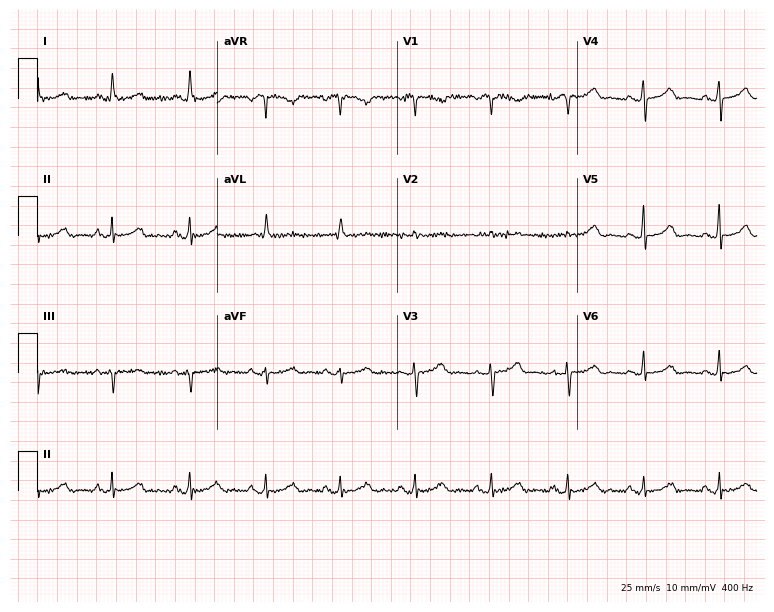
12-lead ECG from a female, 73 years old (7.3-second recording at 400 Hz). No first-degree AV block, right bundle branch block (RBBB), left bundle branch block (LBBB), sinus bradycardia, atrial fibrillation (AF) or sinus tachycardia recorded for this tracing.